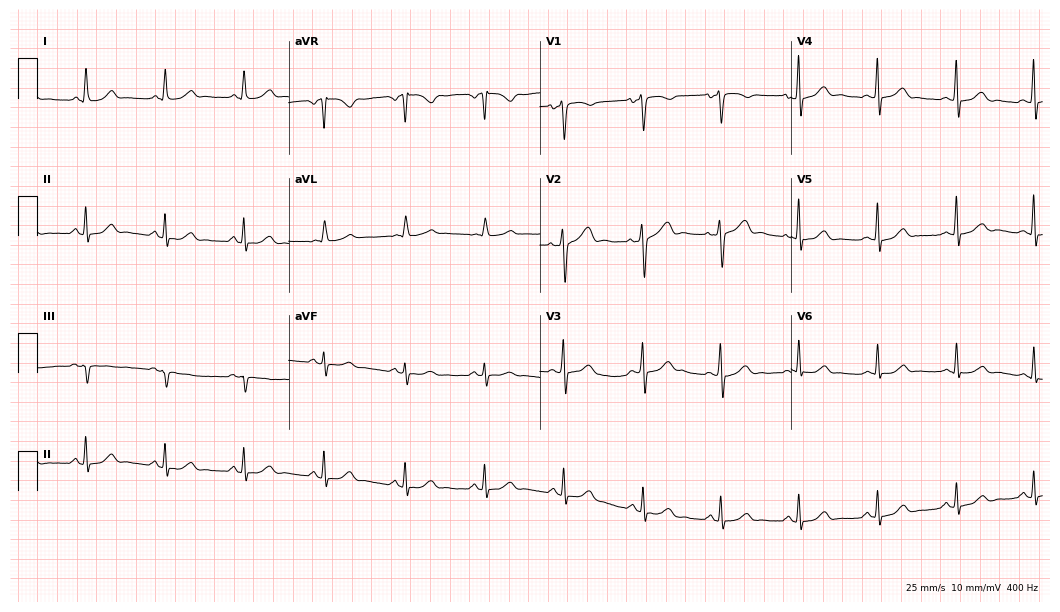
12-lead ECG from a female, 40 years old. Recorded interpretation: within normal limits.